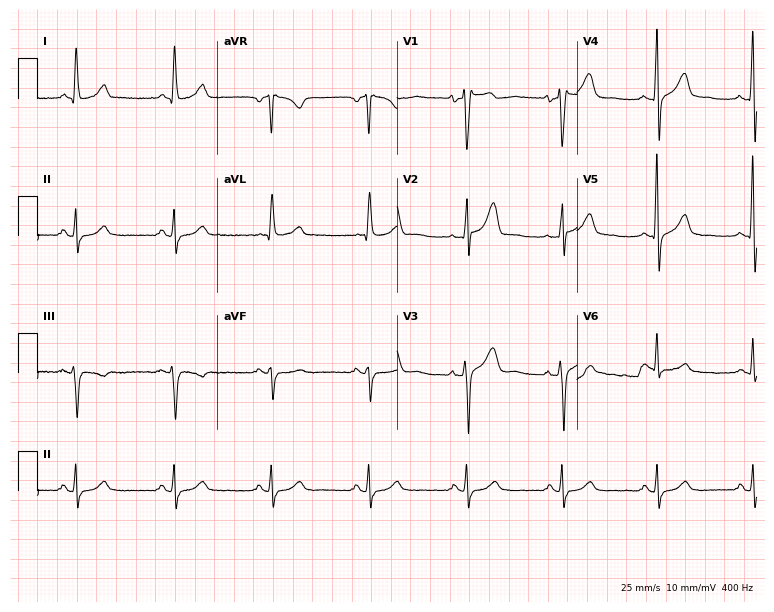
12-lead ECG from a male patient, 58 years old (7.3-second recording at 400 Hz). Recorded interpretation: within normal limits.